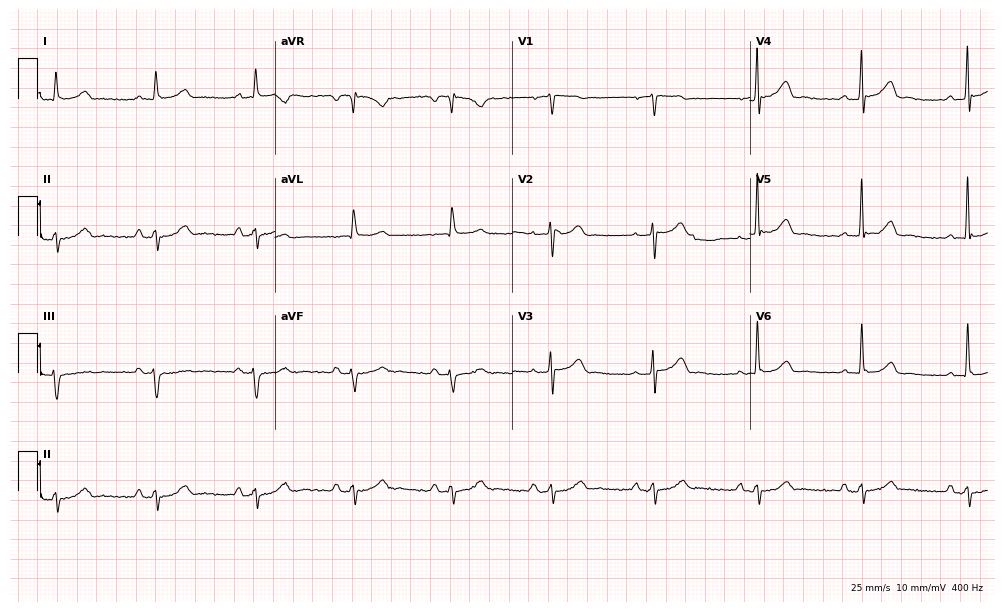
Electrocardiogram, a 61-year-old male patient. Of the six screened findings (first-degree AV block, right bundle branch block, left bundle branch block, sinus bradycardia, atrial fibrillation, sinus tachycardia), none is recorded.